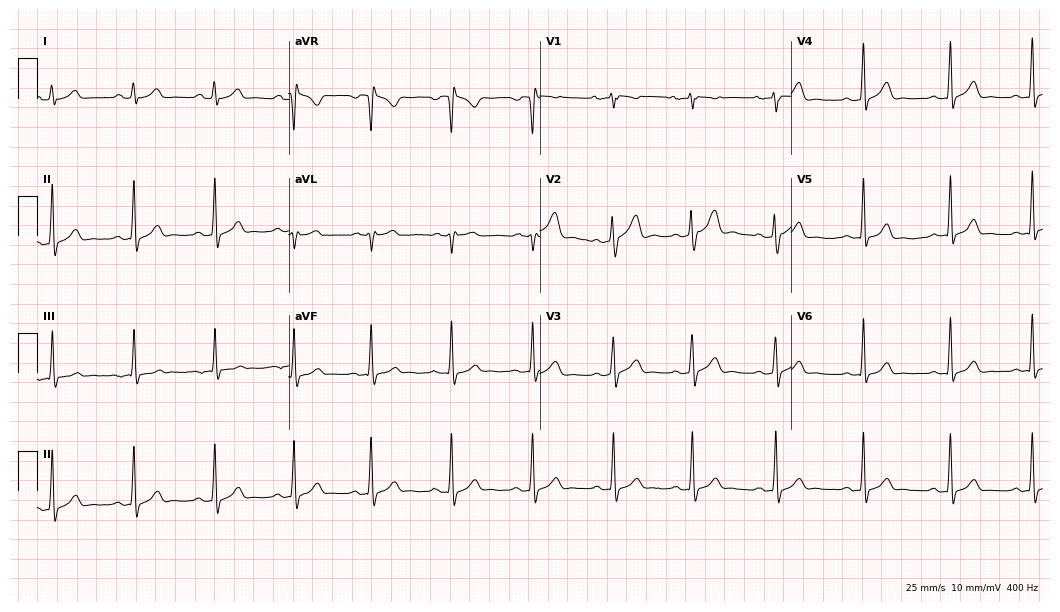
Standard 12-lead ECG recorded from a 26-year-old female patient (10.2-second recording at 400 Hz). Read as a normal ECG.